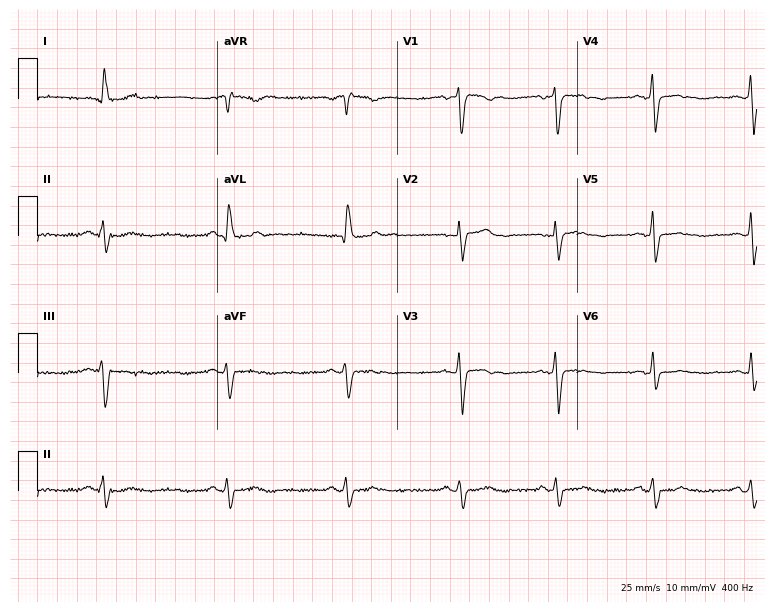
Resting 12-lead electrocardiogram. Patient: a 49-year-old female. None of these six findings is recorded: first-degree AV block, right bundle branch block, left bundle branch block, sinus bradycardia, atrial fibrillation, sinus tachycardia. Other findings, if any, are not listed.